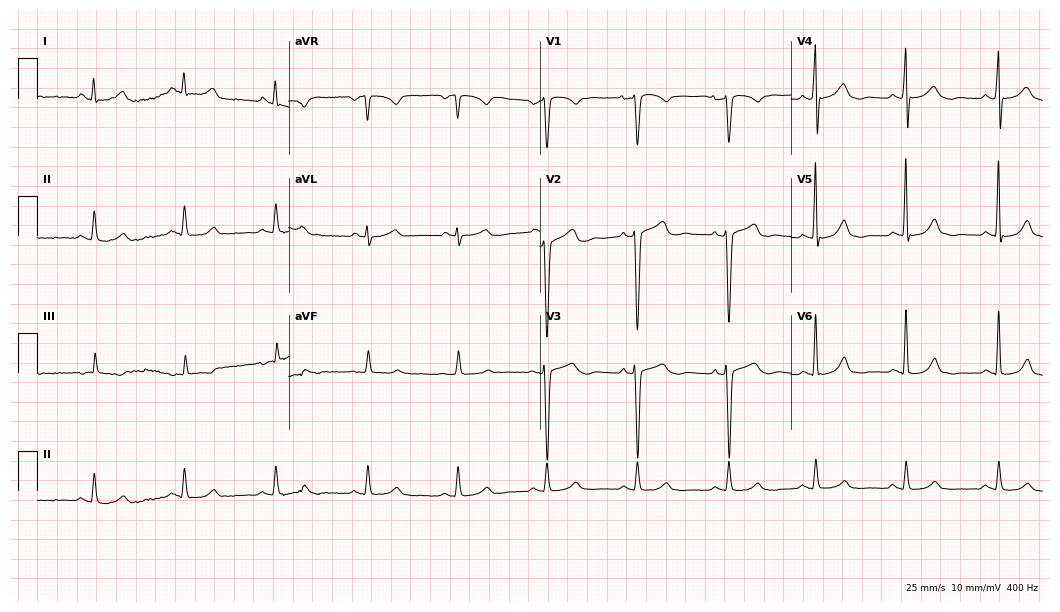
12-lead ECG from a 34-year-old male. Recorded interpretation: within normal limits.